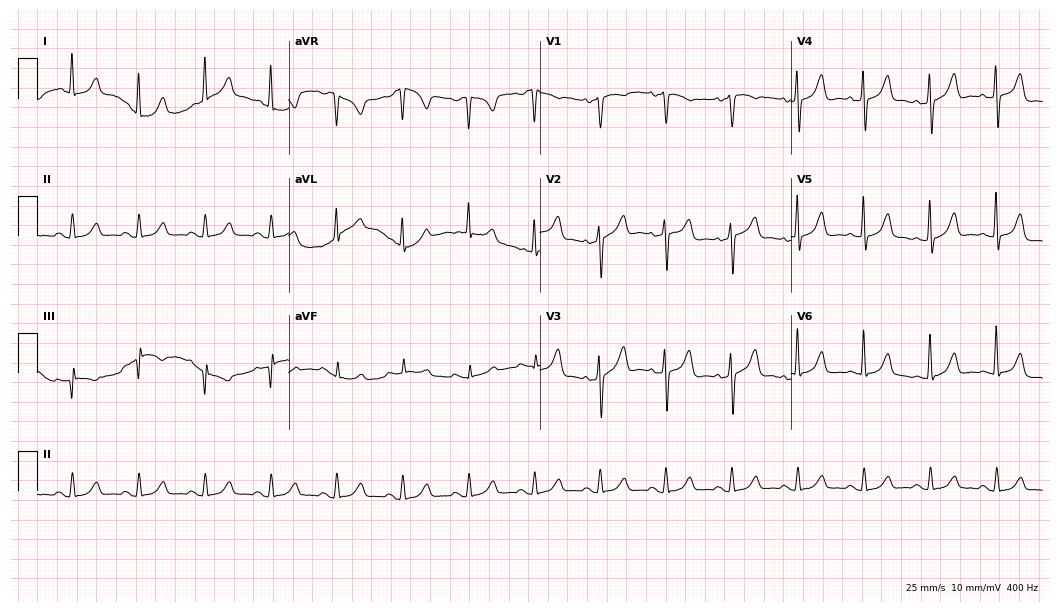
12-lead ECG (10.2-second recording at 400 Hz) from a female patient, 75 years old. Labelled as a normal ECG.